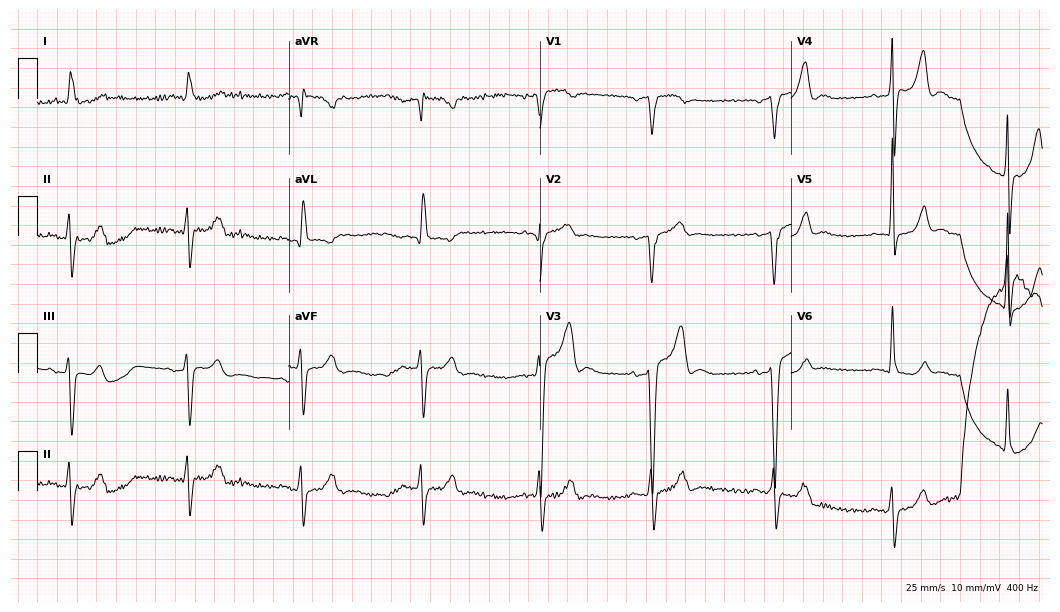
Resting 12-lead electrocardiogram. Patient: a man, 43 years old. None of these six findings is recorded: first-degree AV block, right bundle branch block, left bundle branch block, sinus bradycardia, atrial fibrillation, sinus tachycardia.